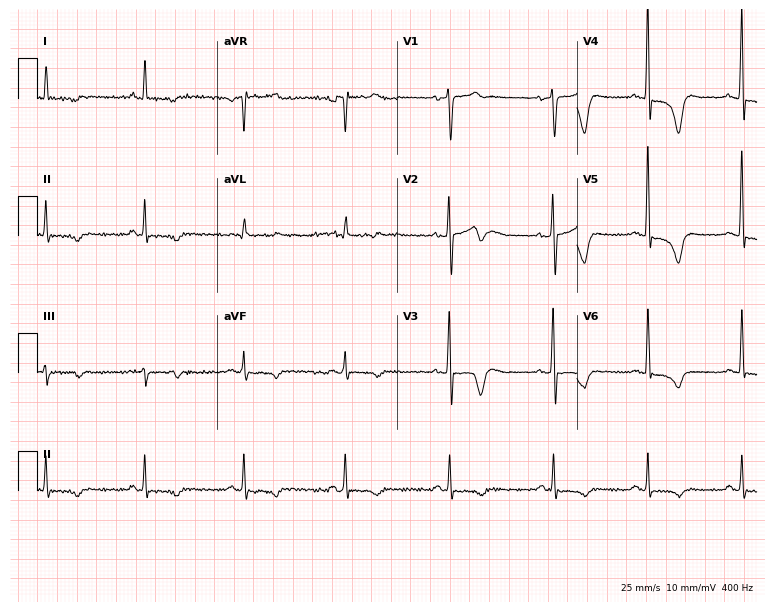
12-lead ECG from a male patient, 33 years old. No first-degree AV block, right bundle branch block, left bundle branch block, sinus bradycardia, atrial fibrillation or sinus tachycardia recorded for this tracing.